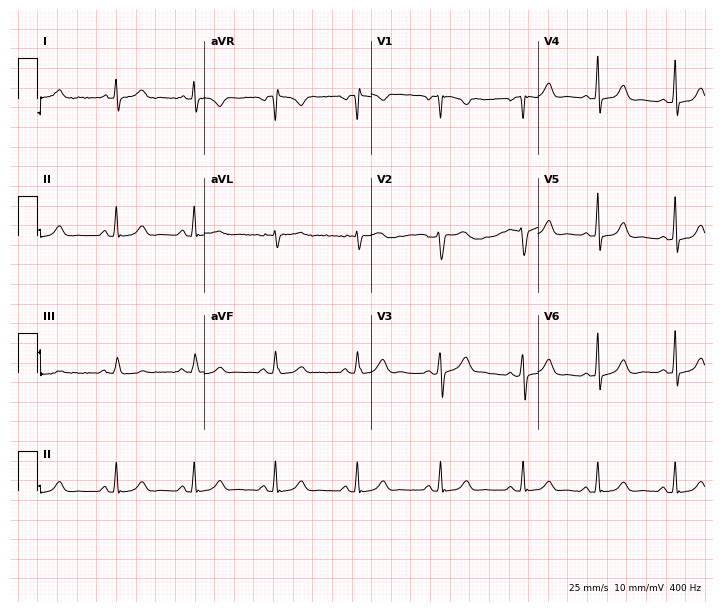
12-lead ECG from a 30-year-old female patient (6.8-second recording at 400 Hz). Recorded interpretation: within normal limits.